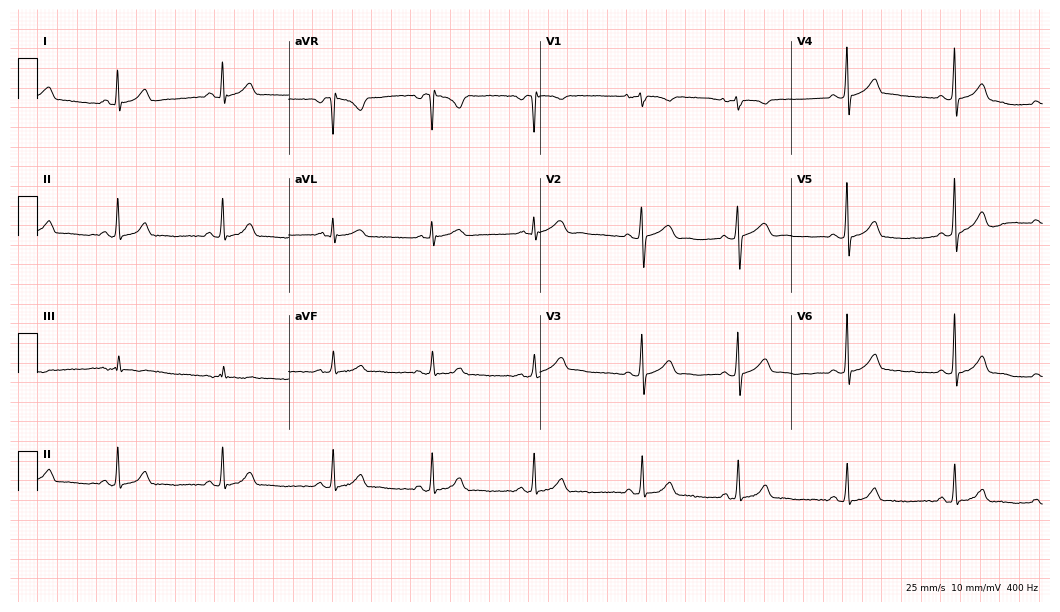
Electrocardiogram, a female, 20 years old. Overall reading on record: normal ECG.